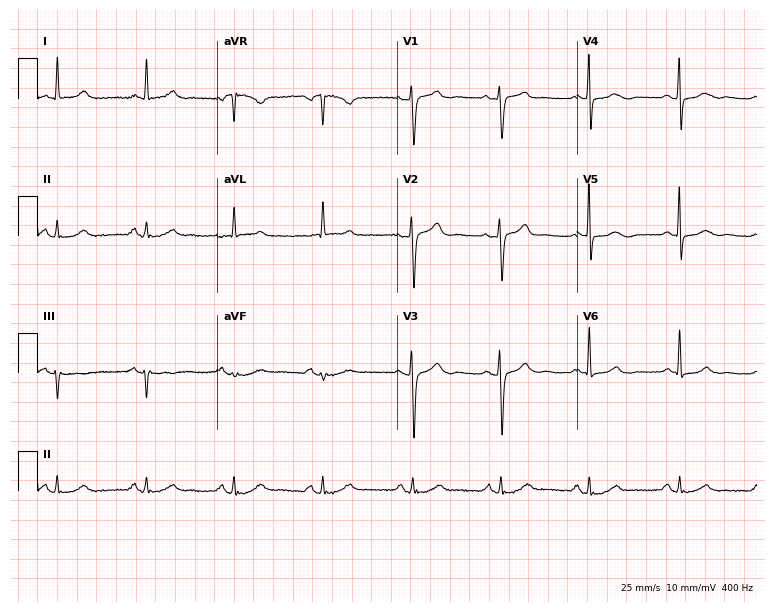
Electrocardiogram, a woman, 68 years old. Of the six screened findings (first-degree AV block, right bundle branch block, left bundle branch block, sinus bradycardia, atrial fibrillation, sinus tachycardia), none is recorded. Other findings, if any, are not listed.